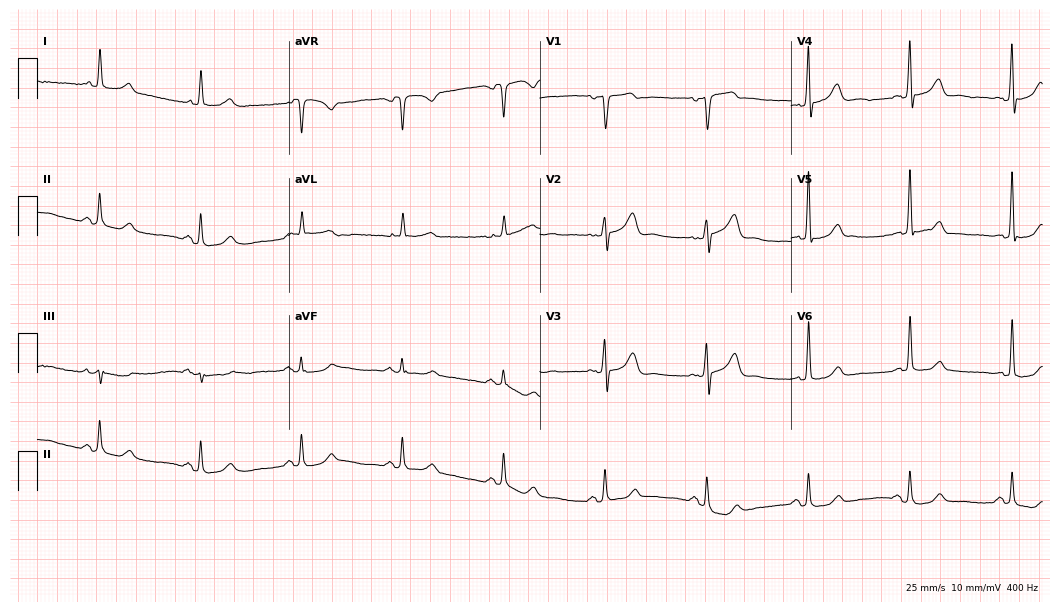
Electrocardiogram, an 83-year-old male. Overall reading on record: normal ECG.